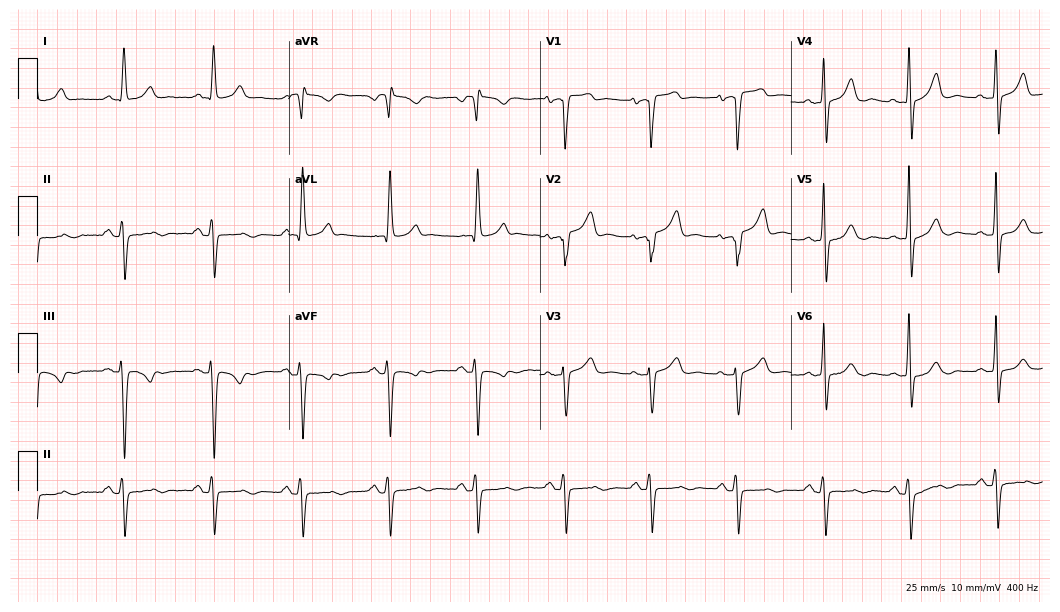
Resting 12-lead electrocardiogram (10.2-second recording at 400 Hz). Patient: a female, 68 years old. None of these six findings is recorded: first-degree AV block, right bundle branch block, left bundle branch block, sinus bradycardia, atrial fibrillation, sinus tachycardia. Only these six findings were labelled.